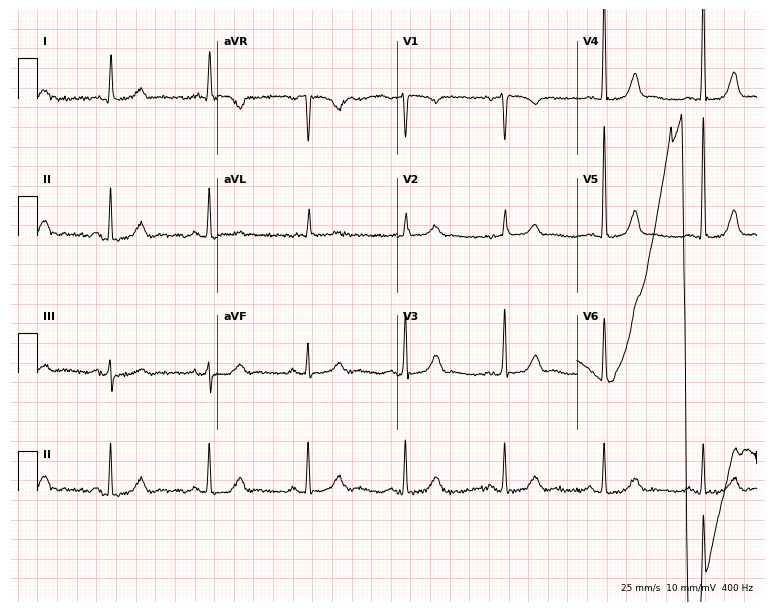
12-lead ECG from a woman, 84 years old. Screened for six findings — first-degree AV block, right bundle branch block, left bundle branch block, sinus bradycardia, atrial fibrillation, sinus tachycardia — none is recorded.